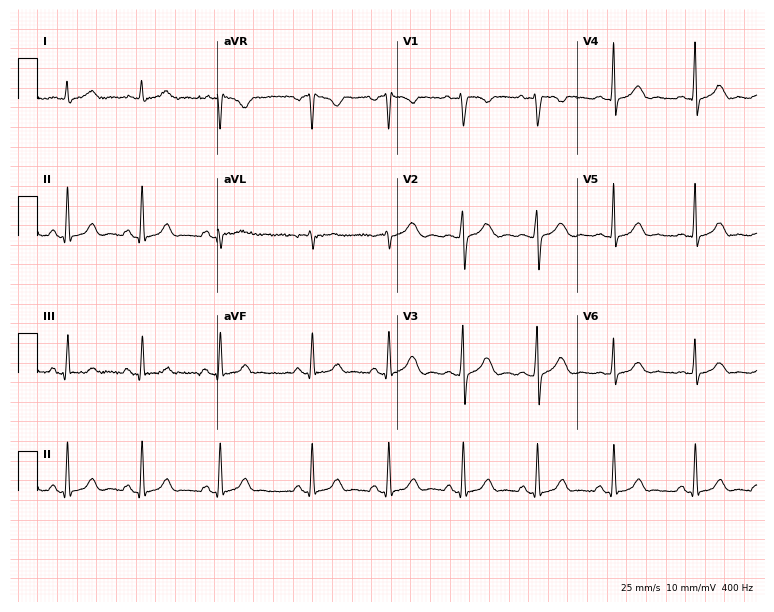
ECG (7.3-second recording at 400 Hz) — a female, 29 years old. Screened for six findings — first-degree AV block, right bundle branch block, left bundle branch block, sinus bradycardia, atrial fibrillation, sinus tachycardia — none is recorded. Findings outside these six are not listed.